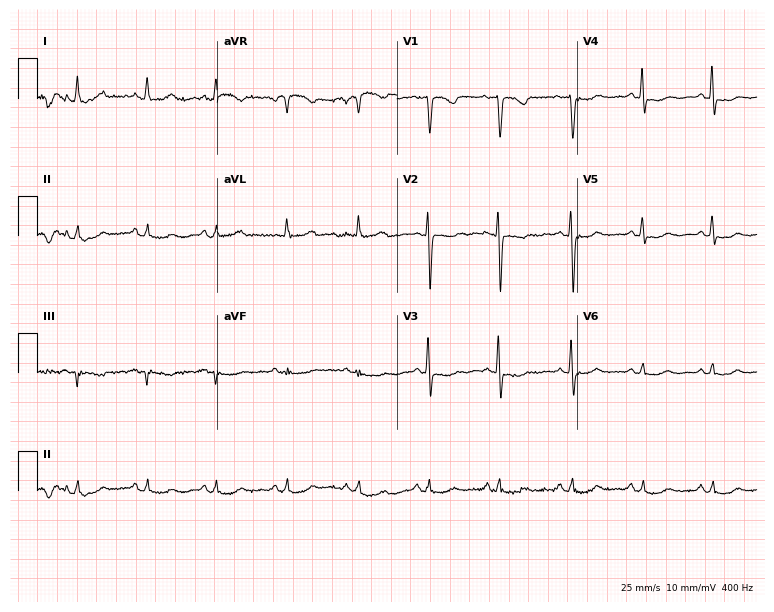
Standard 12-lead ECG recorded from a female patient, 67 years old (7.3-second recording at 400 Hz). None of these six findings is recorded: first-degree AV block, right bundle branch block, left bundle branch block, sinus bradycardia, atrial fibrillation, sinus tachycardia.